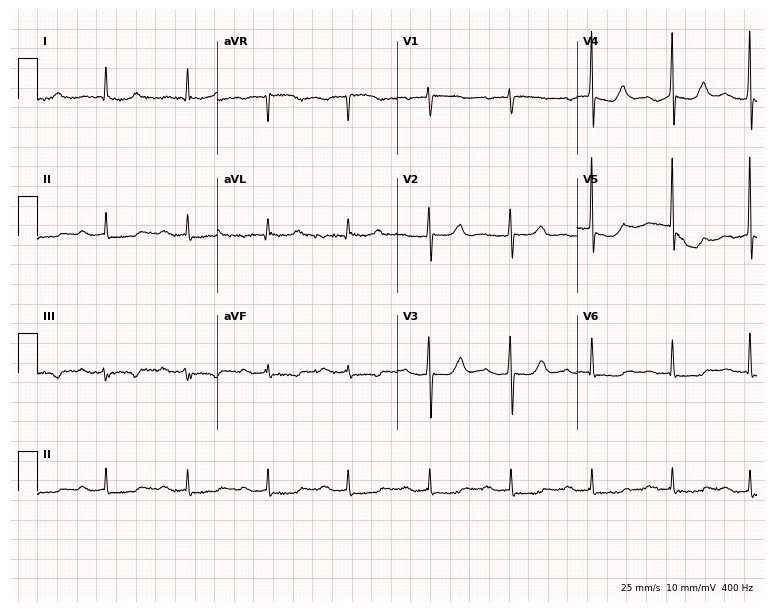
12-lead ECG from an 83-year-old woman. Findings include first-degree AV block.